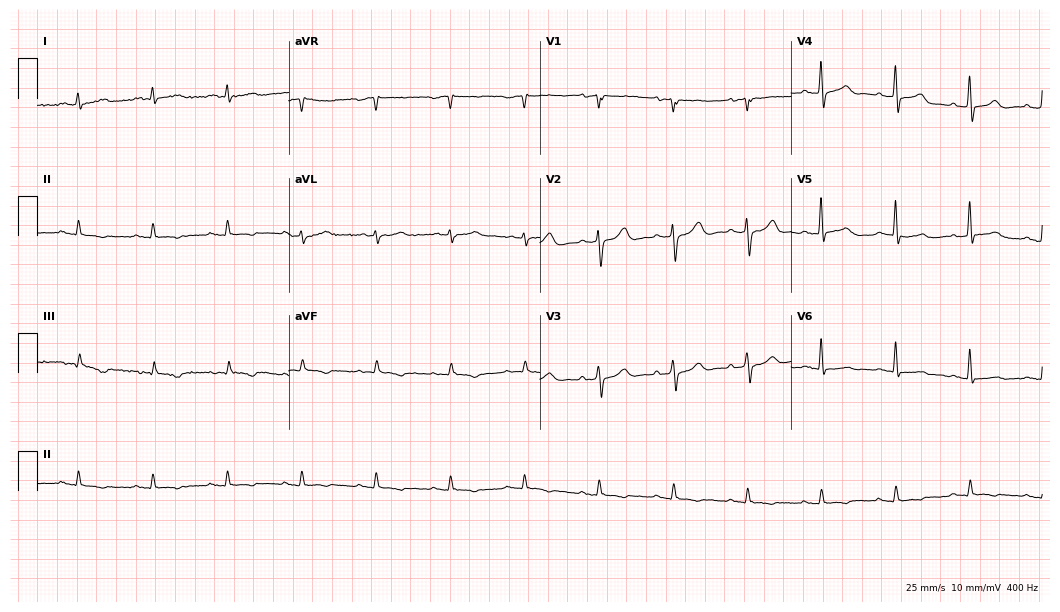
12-lead ECG from a 74-year-old male patient. No first-degree AV block, right bundle branch block (RBBB), left bundle branch block (LBBB), sinus bradycardia, atrial fibrillation (AF) or sinus tachycardia recorded for this tracing. Findings outside these six are not listed.